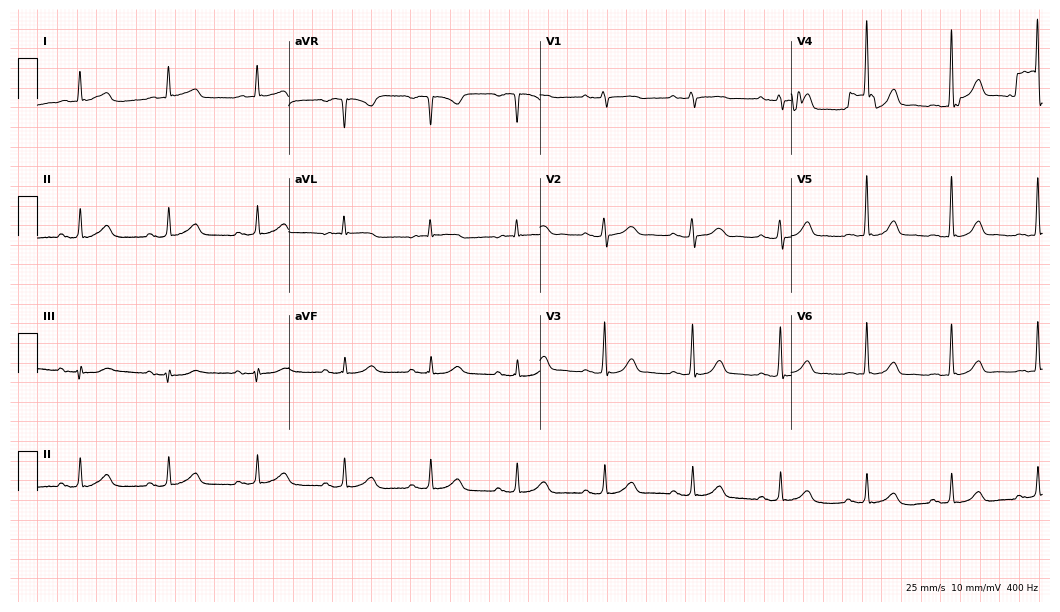
Electrocardiogram (10.2-second recording at 400 Hz), a 68-year-old woman. Overall reading on record: normal ECG.